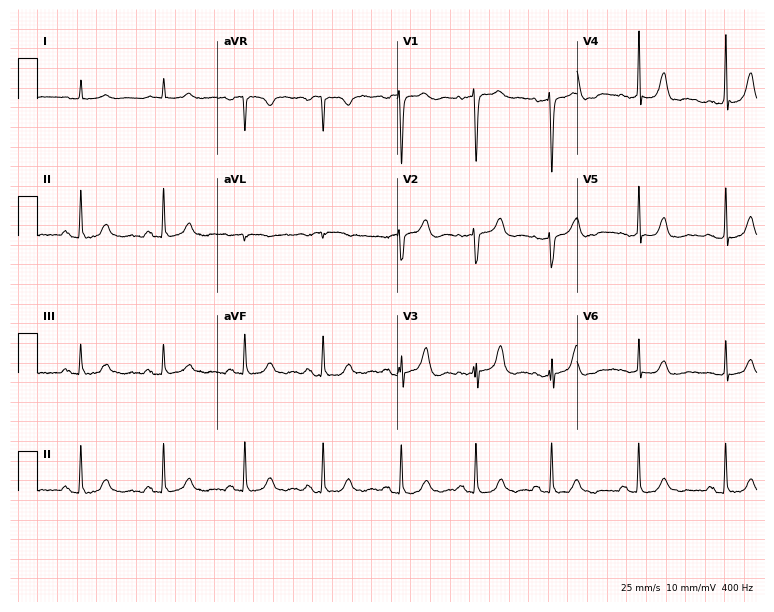
12-lead ECG from a female, 67 years old. No first-degree AV block, right bundle branch block (RBBB), left bundle branch block (LBBB), sinus bradycardia, atrial fibrillation (AF) or sinus tachycardia recorded for this tracing.